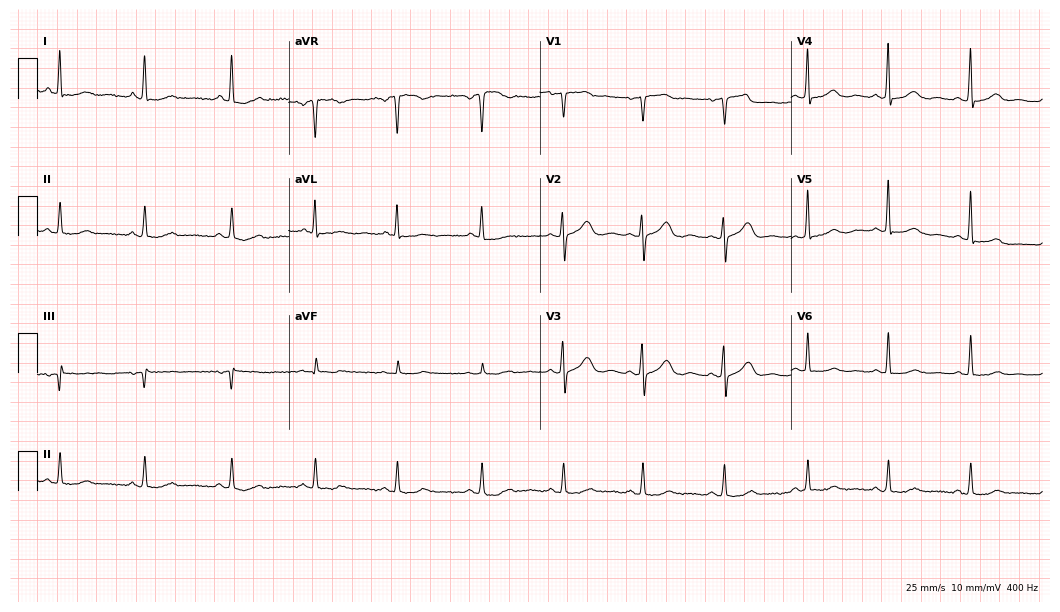
12-lead ECG (10.2-second recording at 400 Hz) from a female, 60 years old. Labelled as a normal ECG.